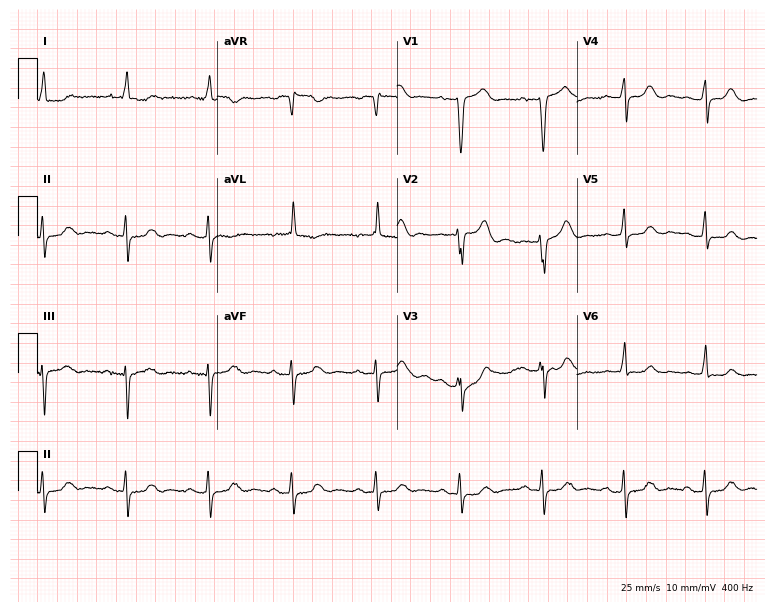
12-lead ECG (7.3-second recording at 400 Hz) from an 84-year-old female patient. Screened for six findings — first-degree AV block, right bundle branch block, left bundle branch block, sinus bradycardia, atrial fibrillation, sinus tachycardia — none is recorded.